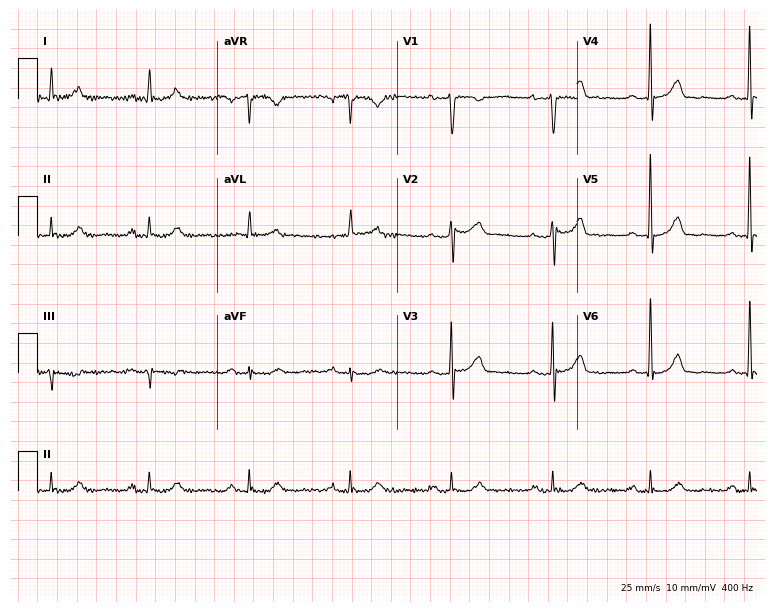
Resting 12-lead electrocardiogram (7.3-second recording at 400 Hz). Patient: an 83-year-old female. None of these six findings is recorded: first-degree AV block, right bundle branch block (RBBB), left bundle branch block (LBBB), sinus bradycardia, atrial fibrillation (AF), sinus tachycardia. Only these six findings were labelled.